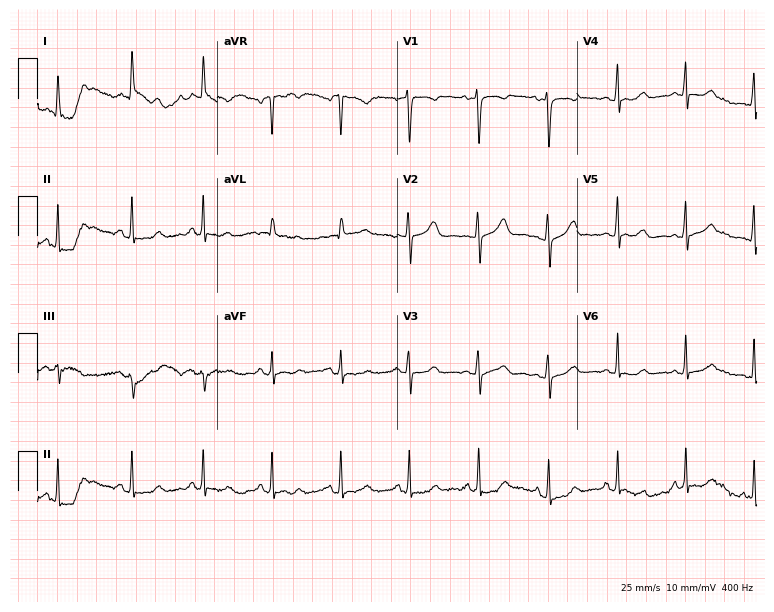
Resting 12-lead electrocardiogram (7.3-second recording at 400 Hz). Patient: a female, 51 years old. Read as a normal ECG.